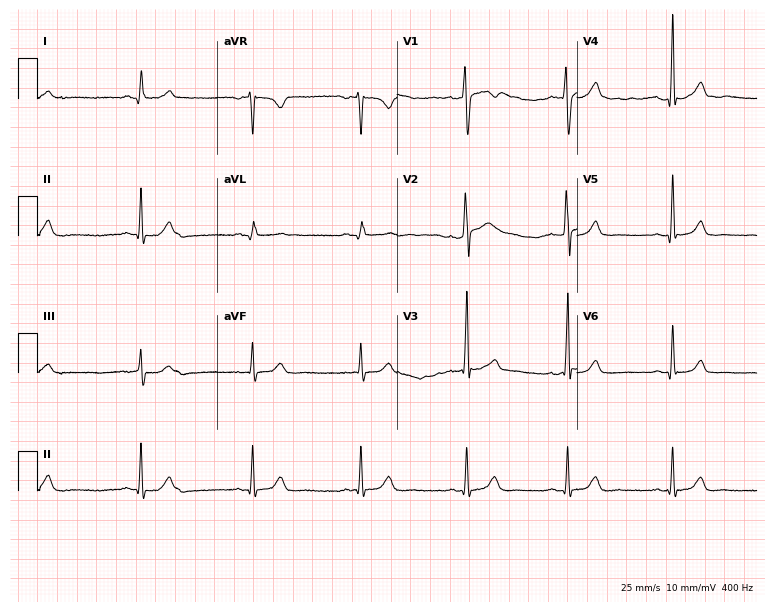
12-lead ECG (7.3-second recording at 400 Hz) from a male patient, 27 years old. Screened for six findings — first-degree AV block, right bundle branch block (RBBB), left bundle branch block (LBBB), sinus bradycardia, atrial fibrillation (AF), sinus tachycardia — none is recorded. Only these six findings were labelled.